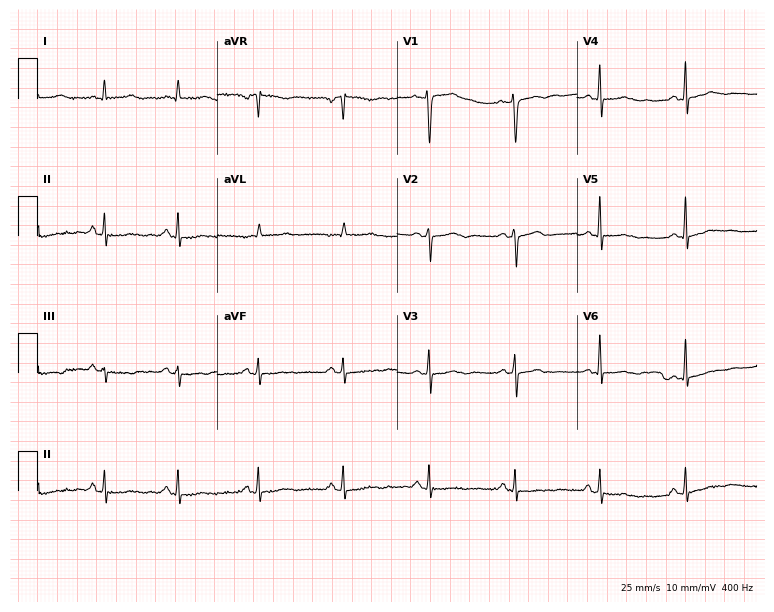
Electrocardiogram, a 48-year-old woman. Of the six screened findings (first-degree AV block, right bundle branch block (RBBB), left bundle branch block (LBBB), sinus bradycardia, atrial fibrillation (AF), sinus tachycardia), none is recorded.